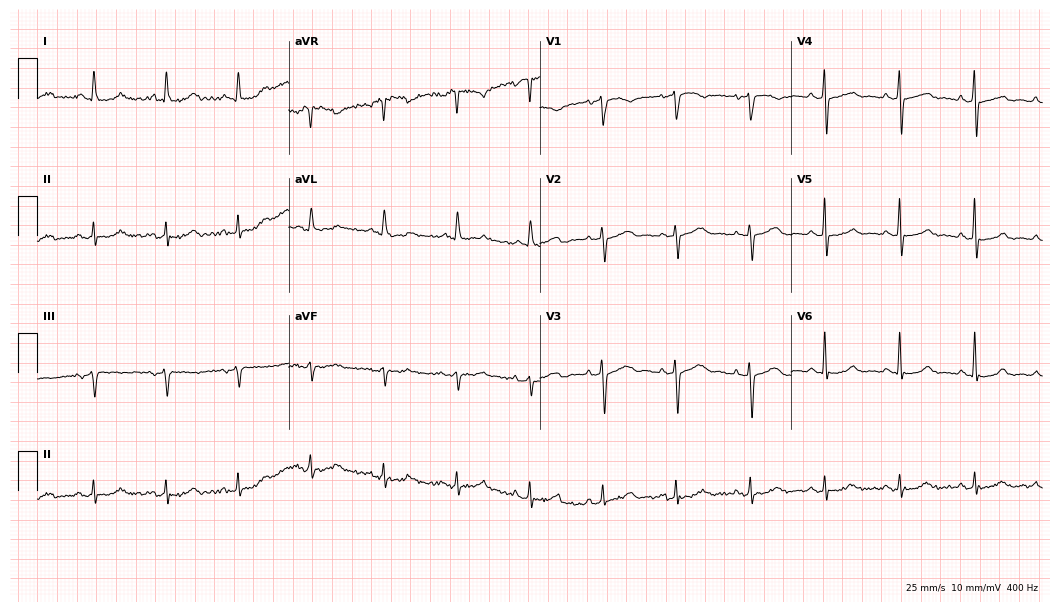
Electrocardiogram (10.2-second recording at 400 Hz), a 69-year-old woman. Of the six screened findings (first-degree AV block, right bundle branch block (RBBB), left bundle branch block (LBBB), sinus bradycardia, atrial fibrillation (AF), sinus tachycardia), none is recorded.